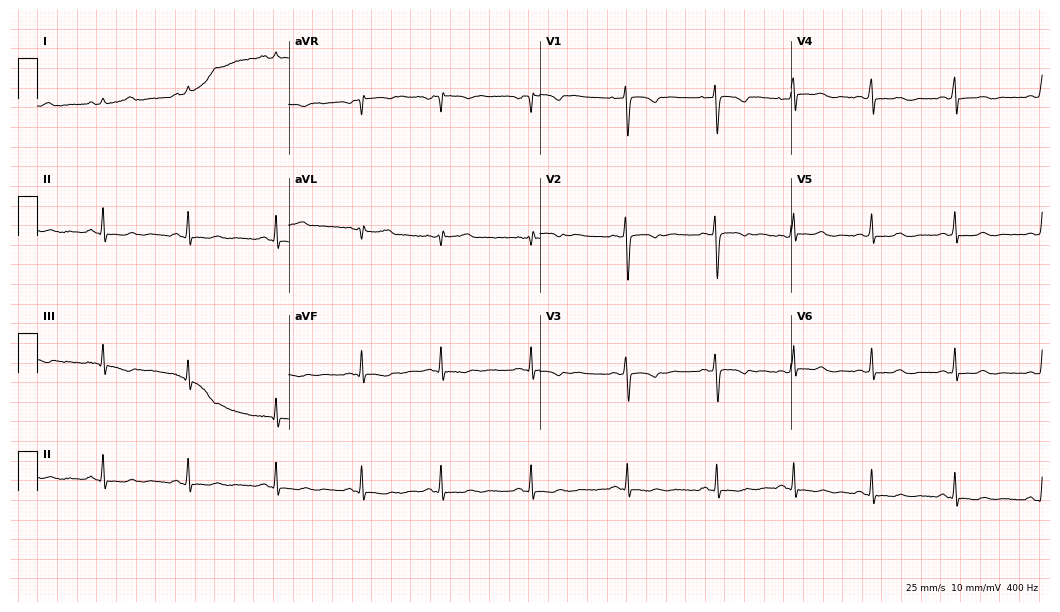
Electrocardiogram, a female, 25 years old. Of the six screened findings (first-degree AV block, right bundle branch block (RBBB), left bundle branch block (LBBB), sinus bradycardia, atrial fibrillation (AF), sinus tachycardia), none is recorded.